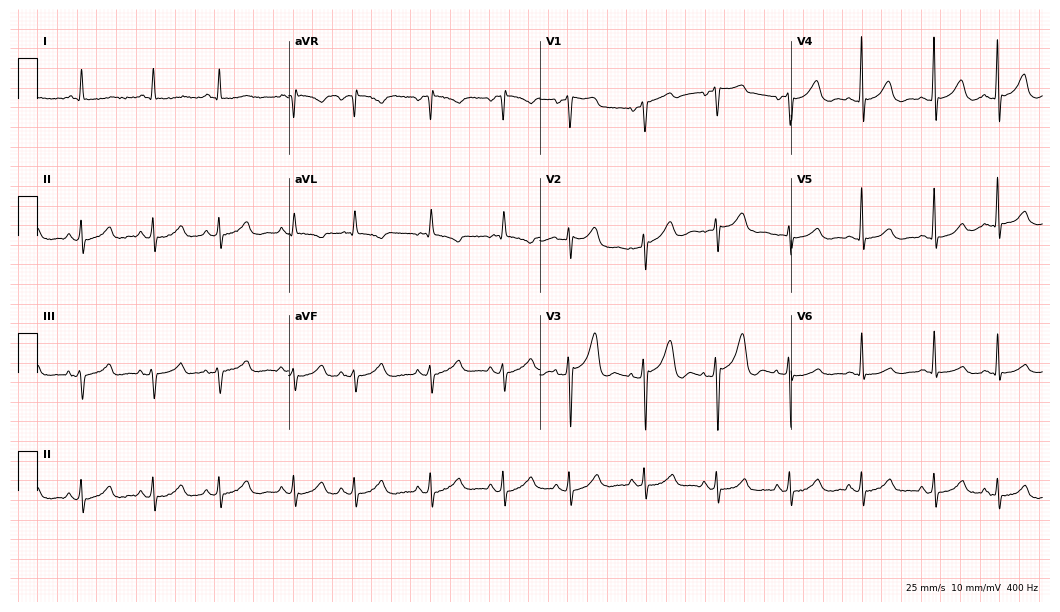
Electrocardiogram (10.2-second recording at 400 Hz), a female, 63 years old. Overall reading on record: normal ECG.